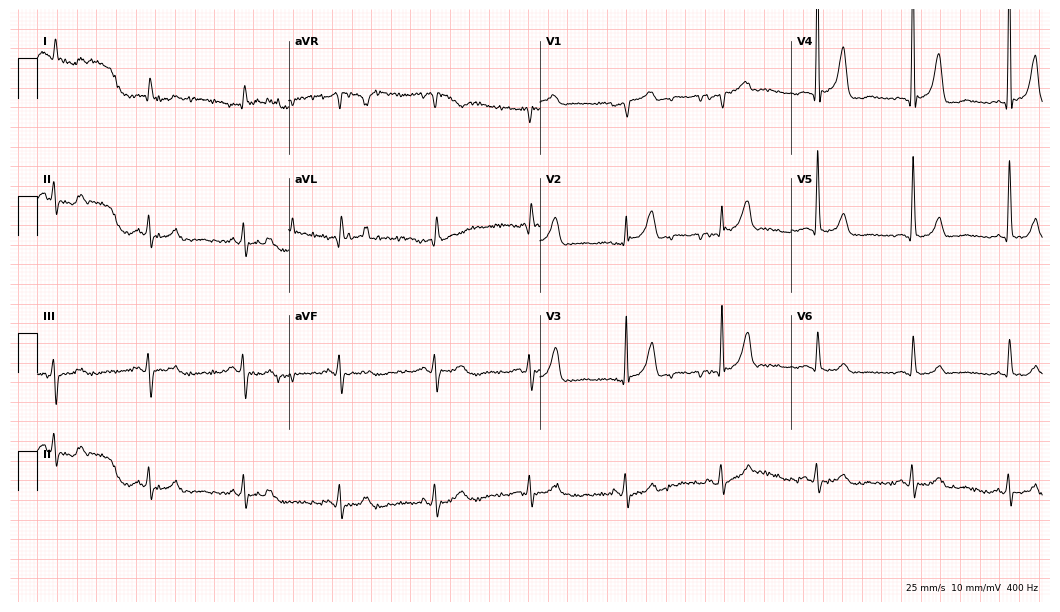
Electrocardiogram (10.2-second recording at 400 Hz), an 82-year-old woman. Overall reading on record: normal ECG.